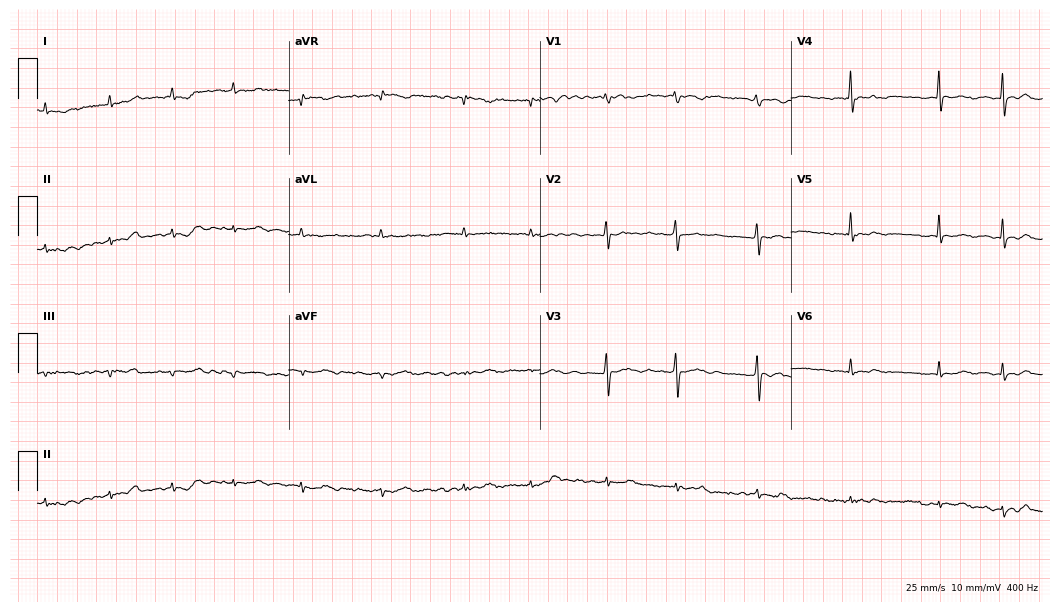
ECG — a man, 78 years old. Findings include atrial fibrillation.